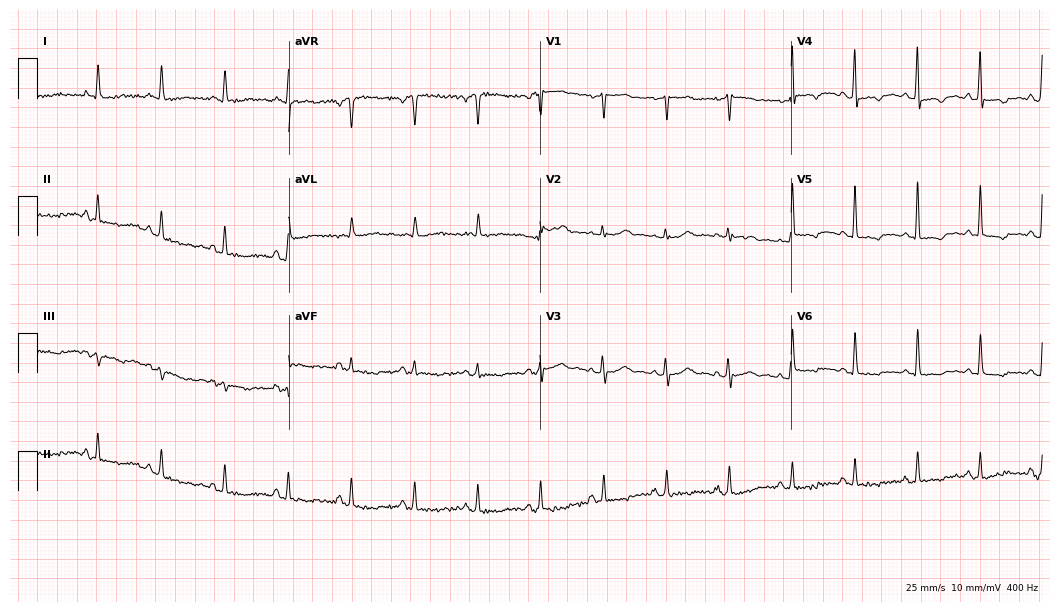
12-lead ECG from a woman, 63 years old (10.2-second recording at 400 Hz). No first-degree AV block, right bundle branch block, left bundle branch block, sinus bradycardia, atrial fibrillation or sinus tachycardia recorded for this tracing.